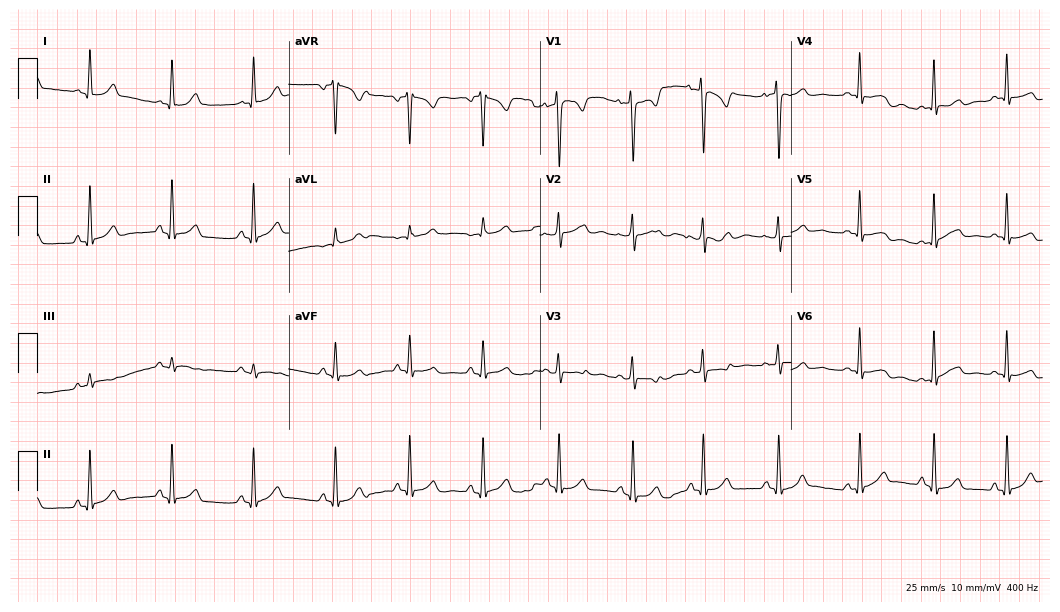
12-lead ECG (10.2-second recording at 400 Hz) from a 28-year-old female patient. Labelled as a normal ECG.